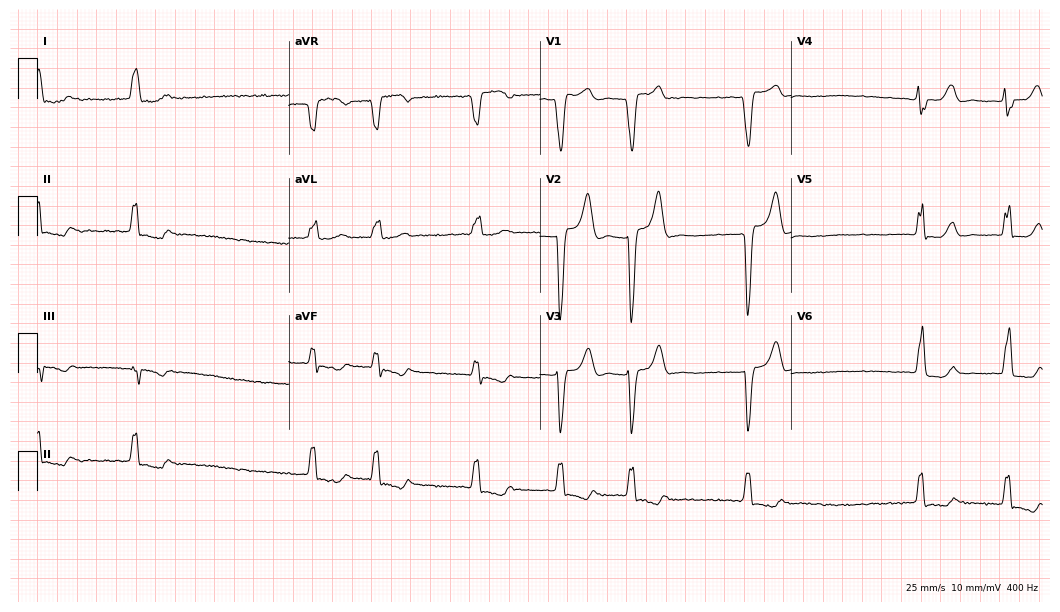
12-lead ECG from a woman, 65 years old (10.2-second recording at 400 Hz). Shows left bundle branch block, atrial fibrillation.